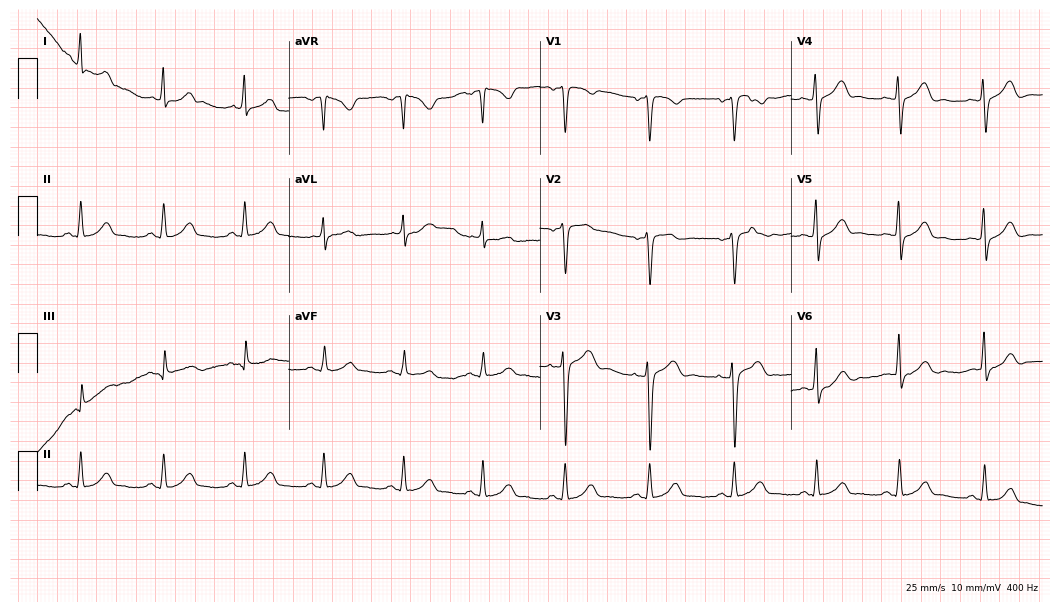
12-lead ECG from a 34-year-old woman. Labelled as a normal ECG.